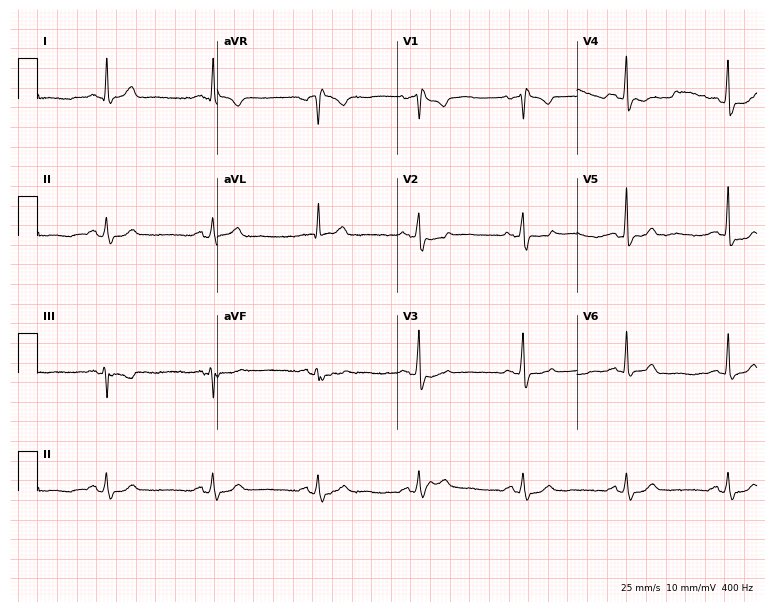
12-lead ECG from a female patient, 62 years old (7.3-second recording at 400 Hz). No first-degree AV block, right bundle branch block (RBBB), left bundle branch block (LBBB), sinus bradycardia, atrial fibrillation (AF) or sinus tachycardia recorded for this tracing.